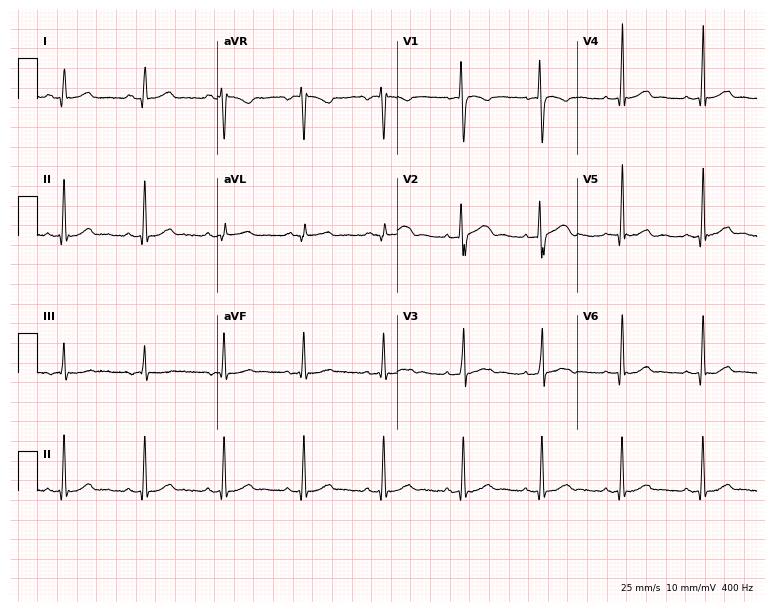
Standard 12-lead ECG recorded from a 38-year-old female patient. Read as a normal ECG.